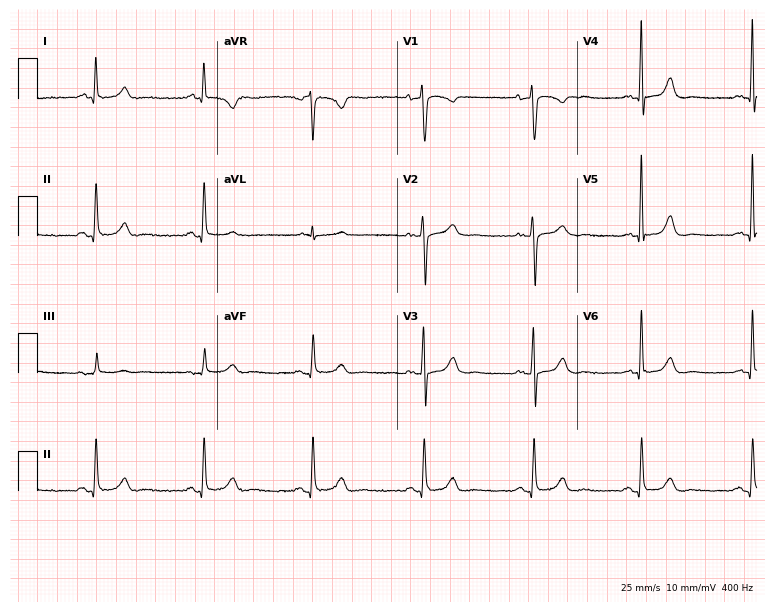
12-lead ECG from a 71-year-old woman (7.3-second recording at 400 Hz). Recorded interpretation: within normal limits.